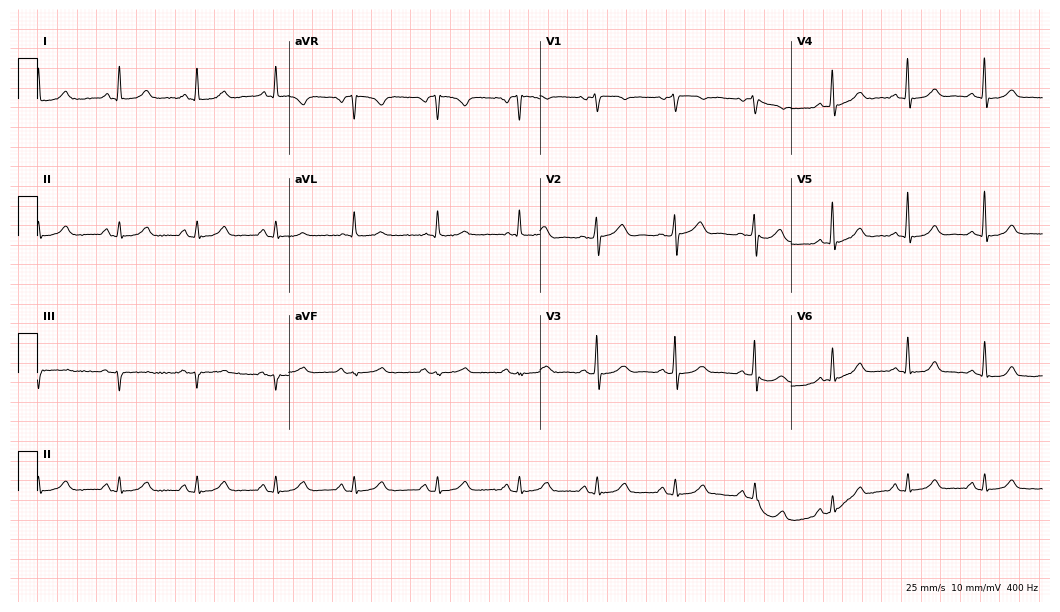
ECG (10.2-second recording at 400 Hz) — a 64-year-old female patient. Labelled as a normal ECG.